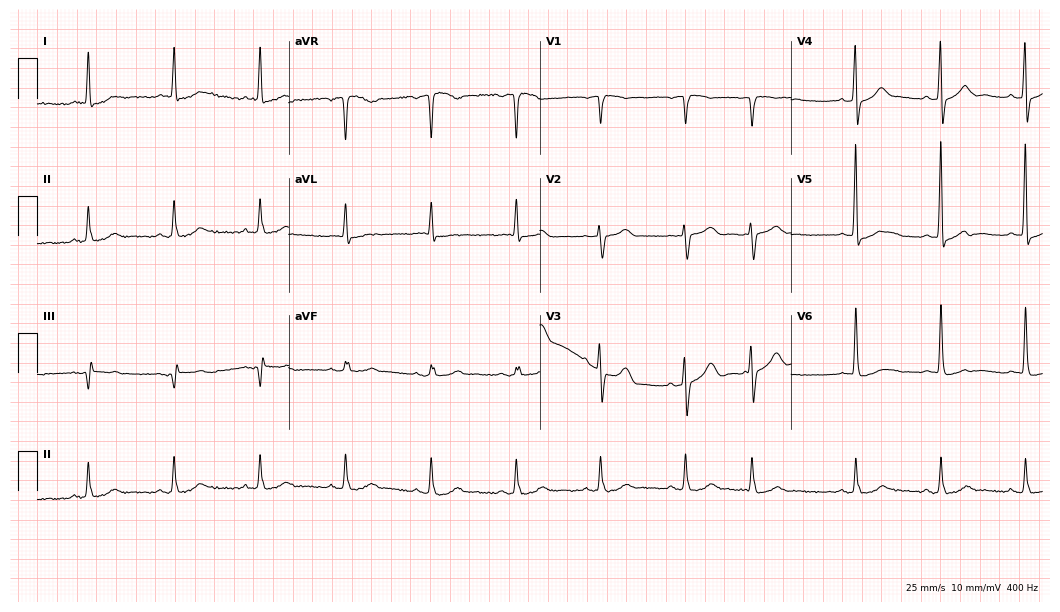
Standard 12-lead ECG recorded from a female patient, 80 years old (10.2-second recording at 400 Hz). None of these six findings is recorded: first-degree AV block, right bundle branch block, left bundle branch block, sinus bradycardia, atrial fibrillation, sinus tachycardia. Only these six findings were labelled.